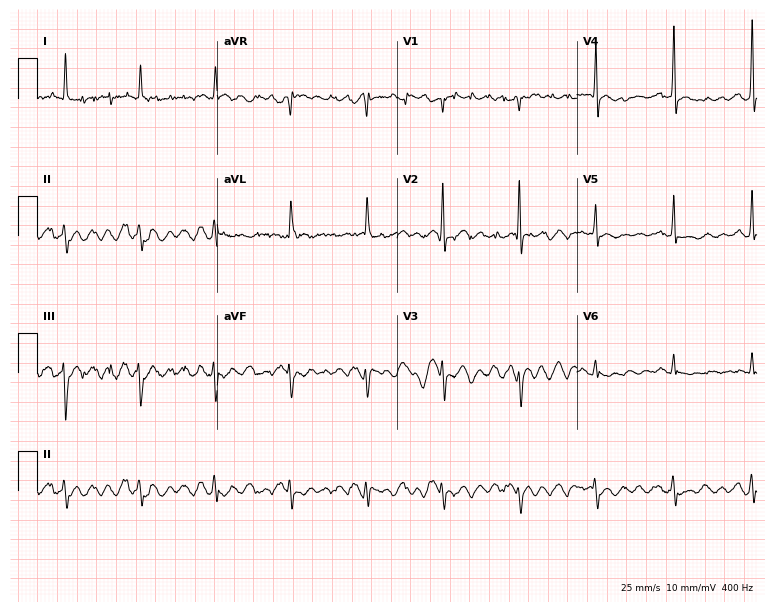
Electrocardiogram, a female, 32 years old. Of the six screened findings (first-degree AV block, right bundle branch block, left bundle branch block, sinus bradycardia, atrial fibrillation, sinus tachycardia), none is recorded.